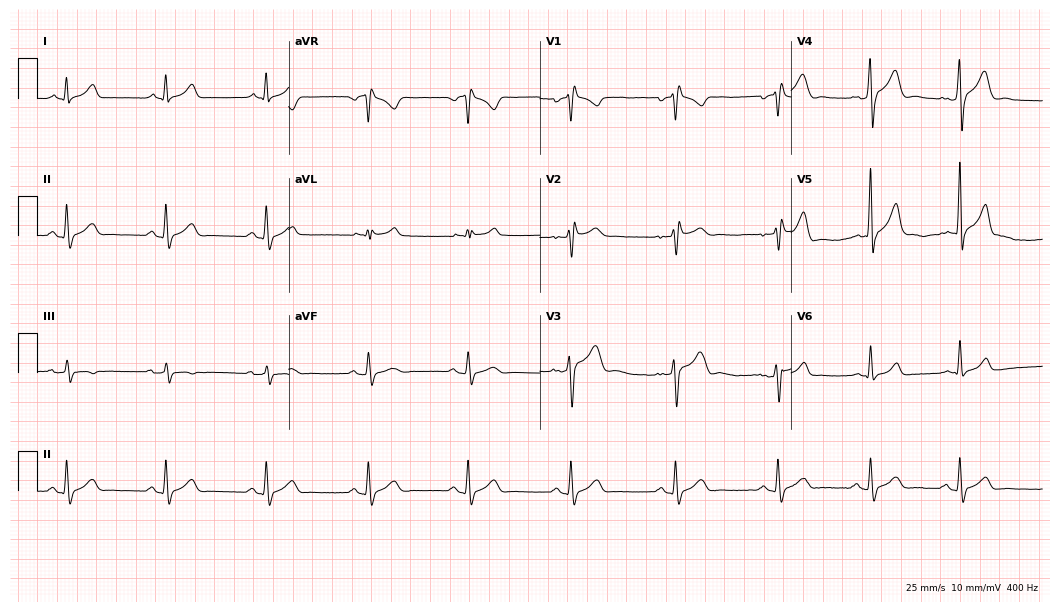
ECG (10.2-second recording at 400 Hz) — a 28-year-old male patient. Screened for six findings — first-degree AV block, right bundle branch block, left bundle branch block, sinus bradycardia, atrial fibrillation, sinus tachycardia — none is recorded.